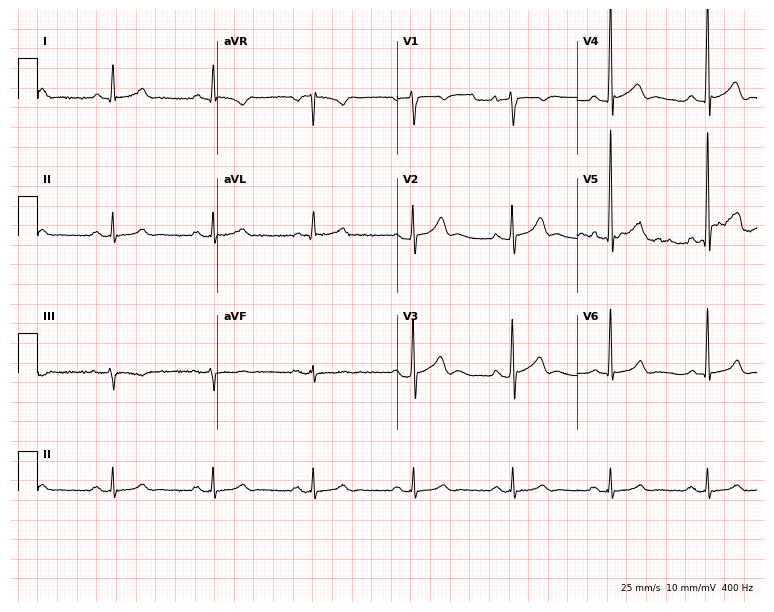
Electrocardiogram (7.3-second recording at 400 Hz), a 67-year-old male. Of the six screened findings (first-degree AV block, right bundle branch block, left bundle branch block, sinus bradycardia, atrial fibrillation, sinus tachycardia), none is recorded.